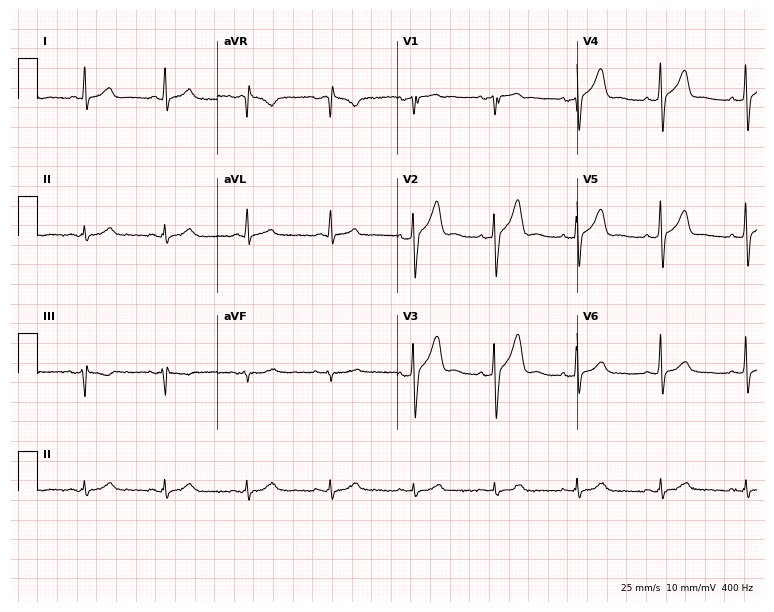
Standard 12-lead ECG recorded from a male, 51 years old (7.3-second recording at 400 Hz). Read as a normal ECG.